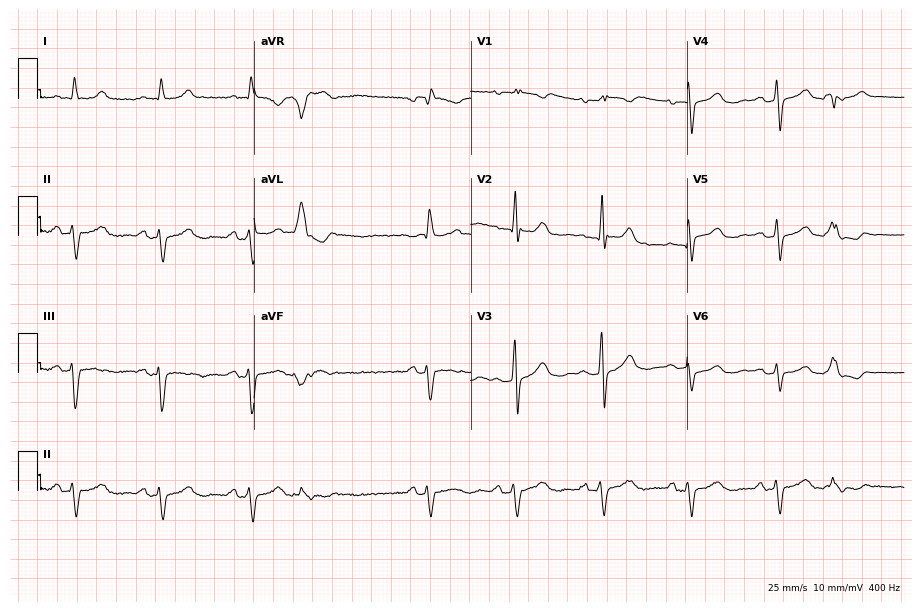
Standard 12-lead ECG recorded from a 77-year-old female patient (8.8-second recording at 400 Hz). None of these six findings is recorded: first-degree AV block, right bundle branch block, left bundle branch block, sinus bradycardia, atrial fibrillation, sinus tachycardia. Other findings, if any, are not listed.